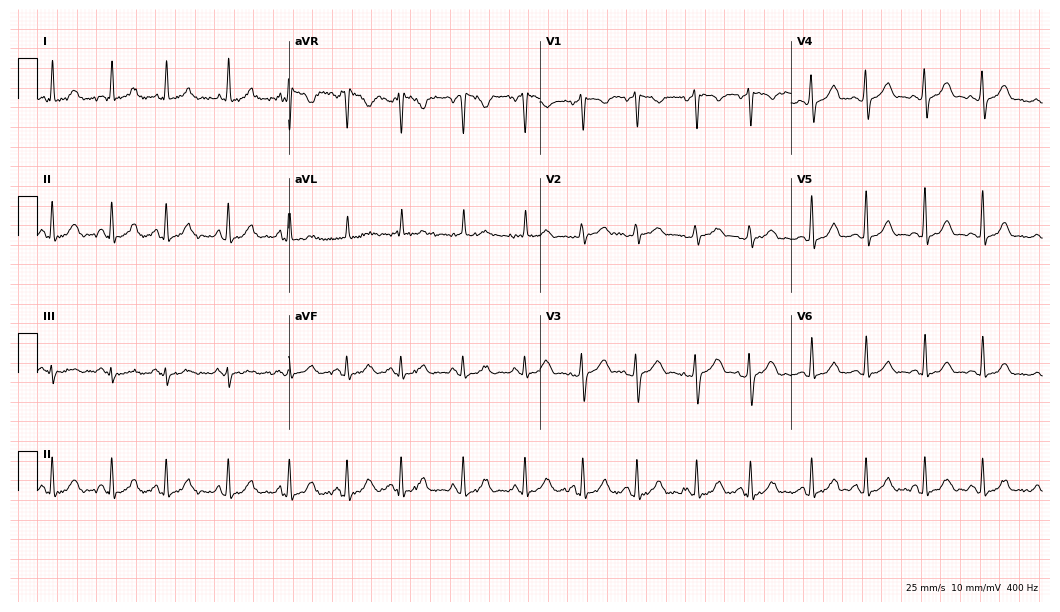
ECG — a female, 31 years old. Labelled as a normal ECG.